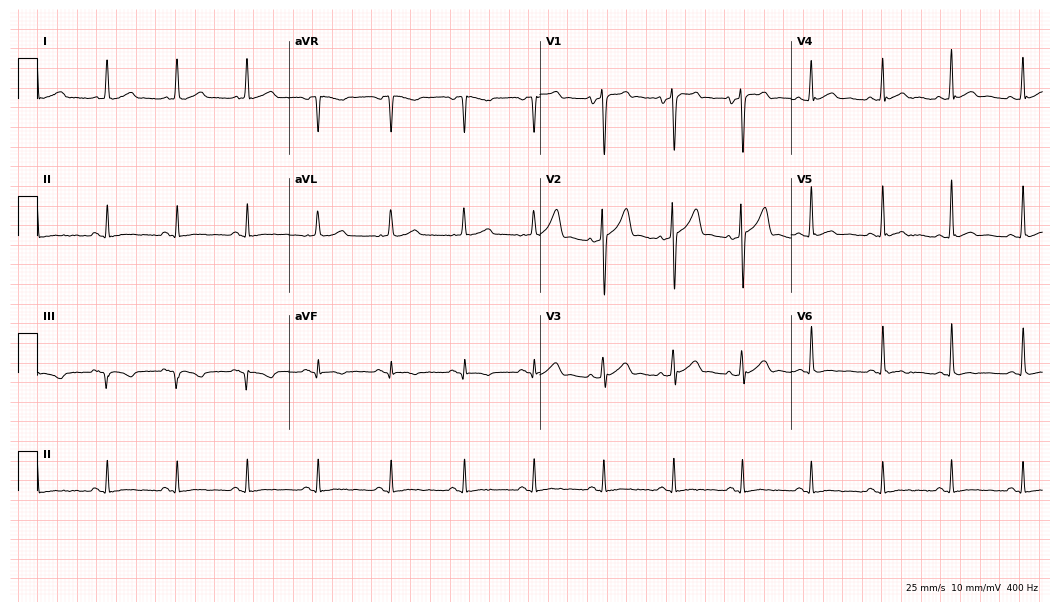
Resting 12-lead electrocardiogram (10.2-second recording at 400 Hz). Patient: a 37-year-old male. Read as a normal ECG.